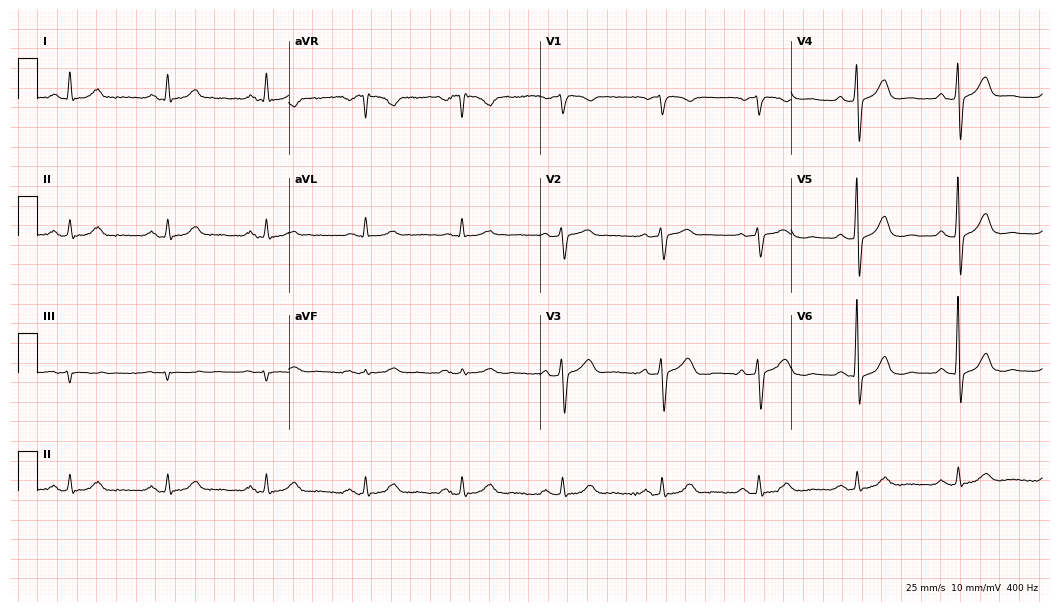
Standard 12-lead ECG recorded from a 72-year-old male (10.2-second recording at 400 Hz). Read as a normal ECG.